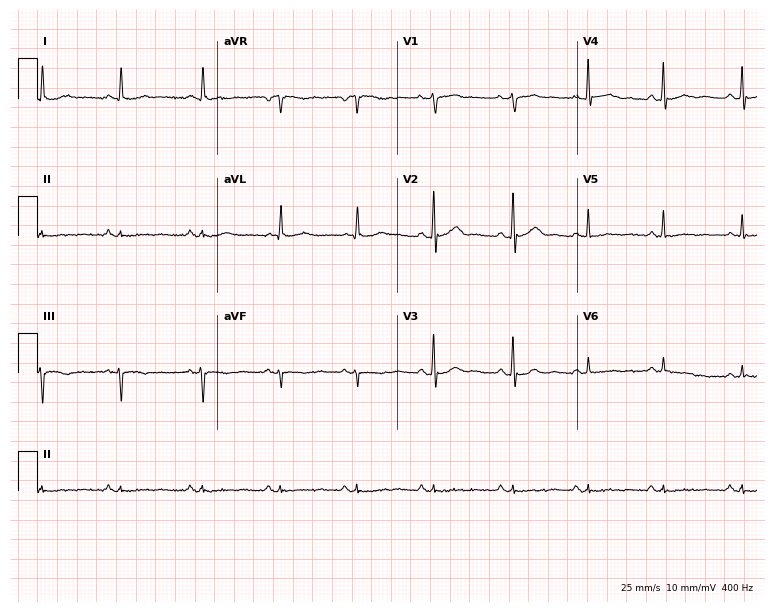
12-lead ECG from a male, 77 years old. Screened for six findings — first-degree AV block, right bundle branch block (RBBB), left bundle branch block (LBBB), sinus bradycardia, atrial fibrillation (AF), sinus tachycardia — none is recorded.